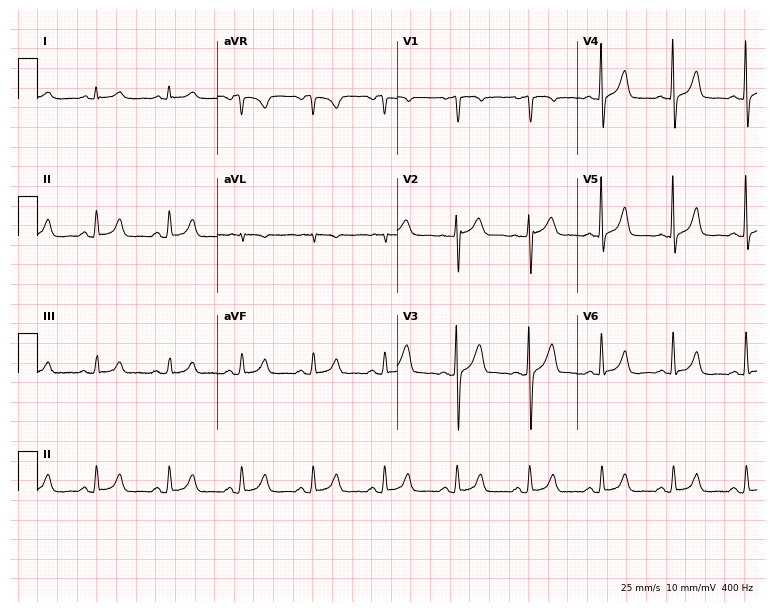
Resting 12-lead electrocardiogram (7.3-second recording at 400 Hz). Patient: a man, 53 years old. Read as a normal ECG.